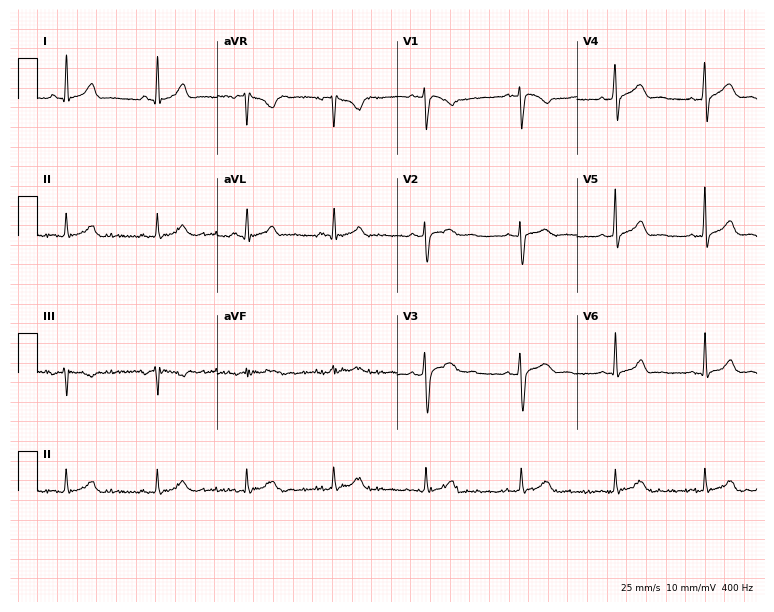
ECG — a man, 32 years old. Labelled as a normal ECG.